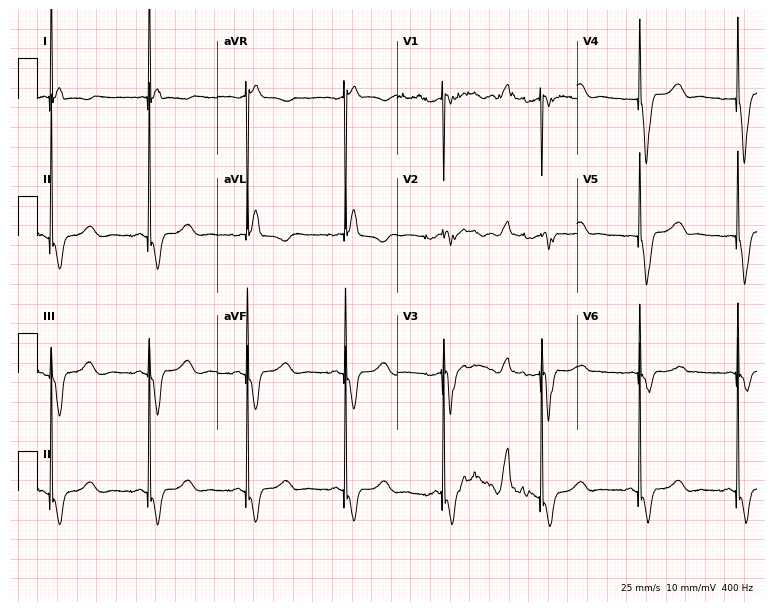
12-lead ECG from a woman, 37 years old. No first-degree AV block, right bundle branch block (RBBB), left bundle branch block (LBBB), sinus bradycardia, atrial fibrillation (AF) or sinus tachycardia recorded for this tracing. Only these six findings were labelled.